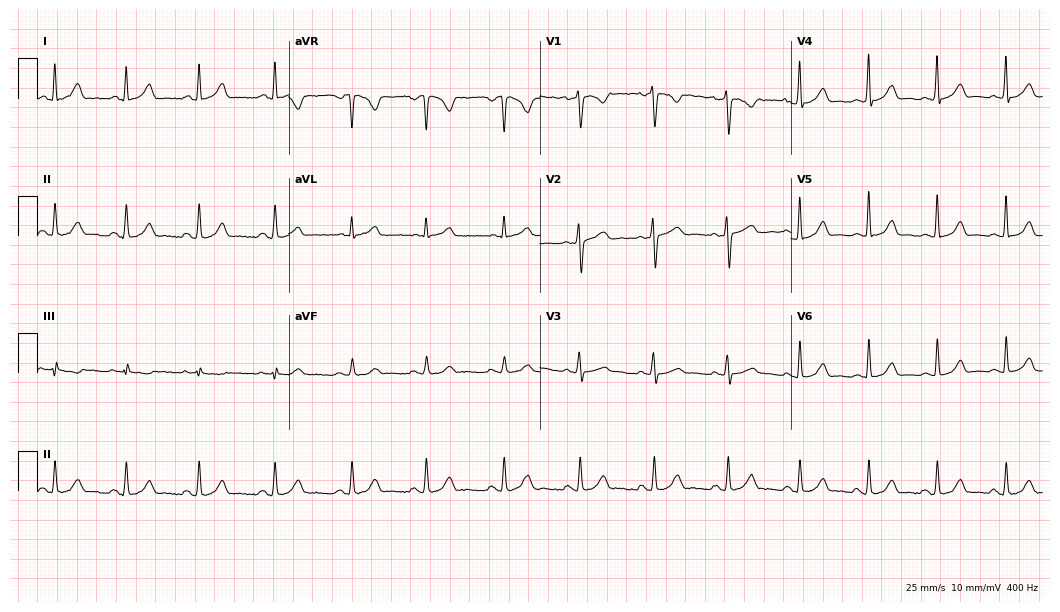
Standard 12-lead ECG recorded from a female, 28 years old. Read as a normal ECG.